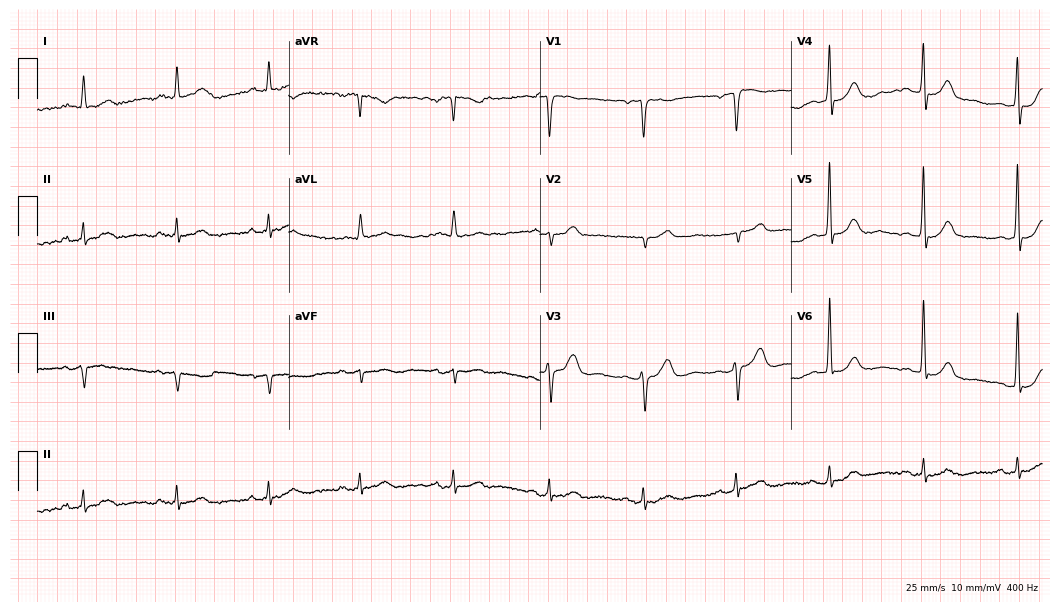
12-lead ECG from a man, 78 years old (10.2-second recording at 400 Hz). No first-degree AV block, right bundle branch block (RBBB), left bundle branch block (LBBB), sinus bradycardia, atrial fibrillation (AF) or sinus tachycardia recorded for this tracing.